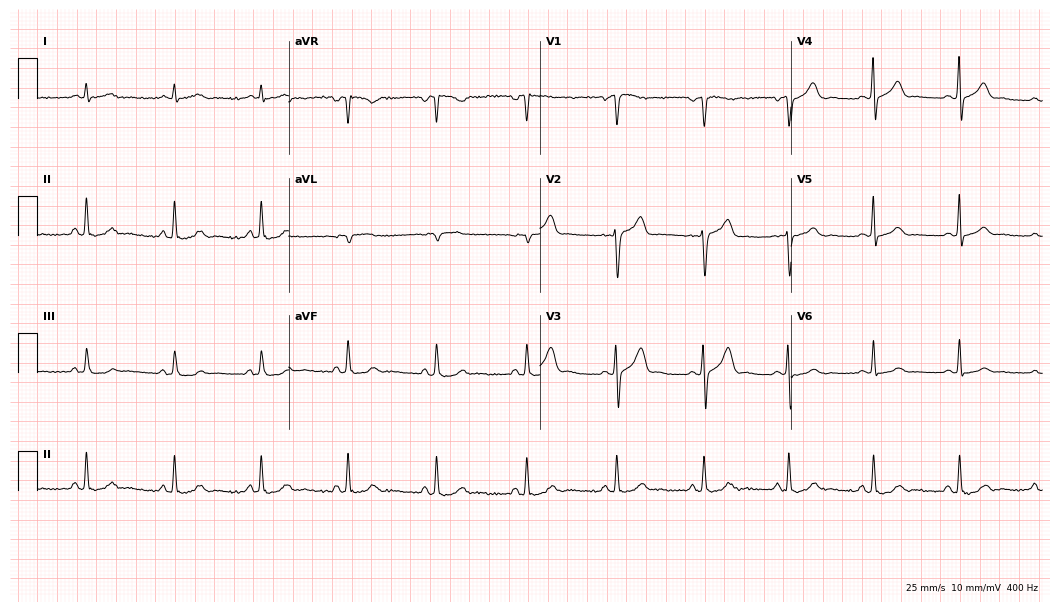
ECG (10.2-second recording at 400 Hz) — a male patient, 53 years old. Labelled as a normal ECG.